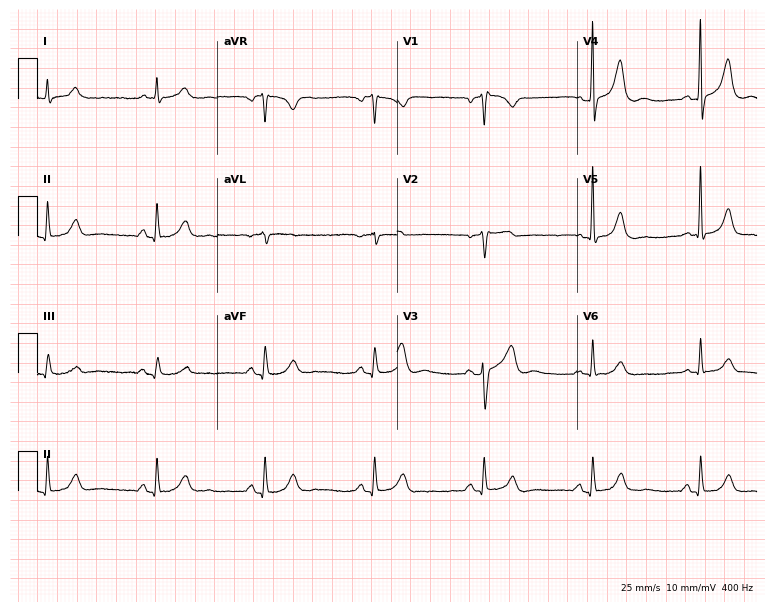
Resting 12-lead electrocardiogram (7.3-second recording at 400 Hz). Patient: a male, 82 years old. Read as a normal ECG.